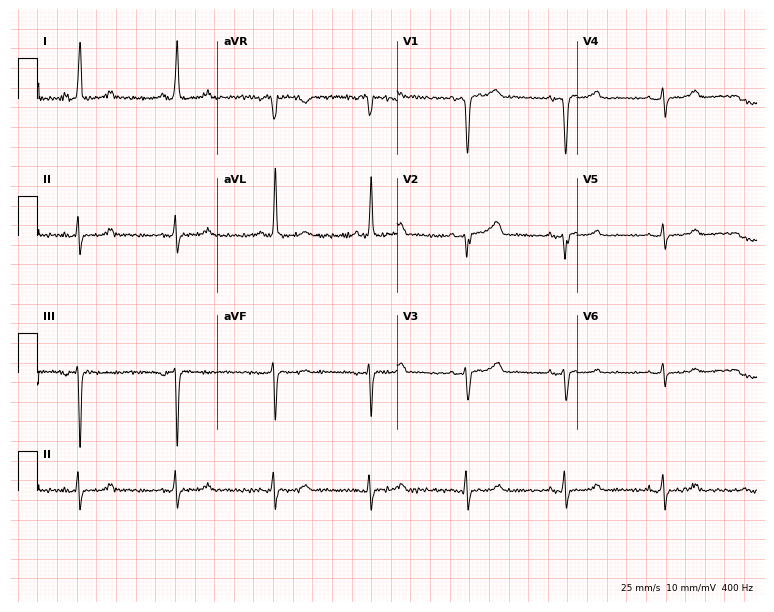
12-lead ECG from a female, 77 years old (7.3-second recording at 400 Hz). No first-degree AV block, right bundle branch block, left bundle branch block, sinus bradycardia, atrial fibrillation or sinus tachycardia recorded for this tracing. Findings outside these six are not listed.